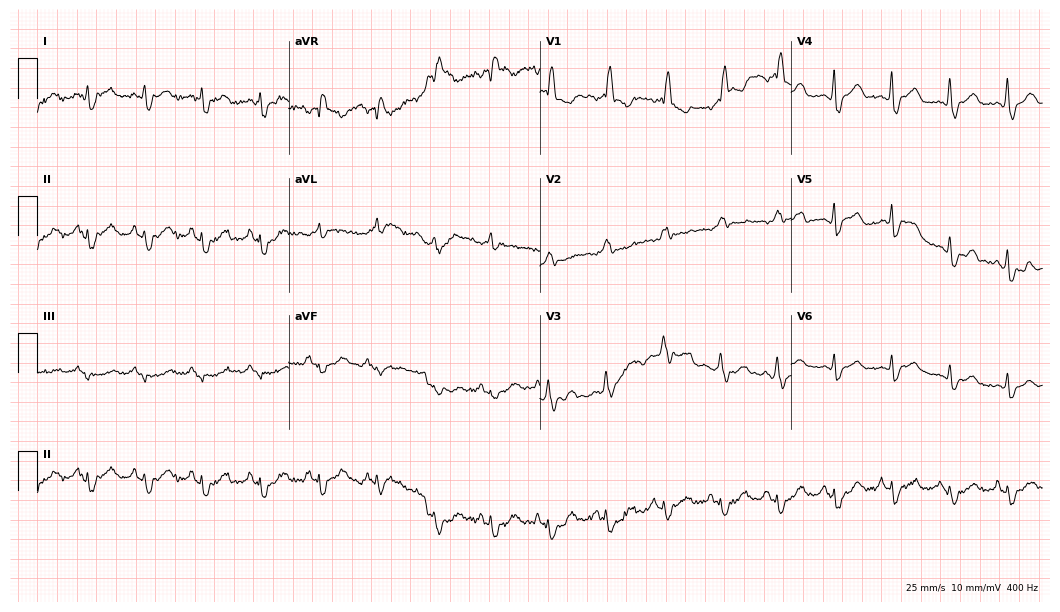
Resting 12-lead electrocardiogram. Patient: a male, 70 years old. None of these six findings is recorded: first-degree AV block, right bundle branch block, left bundle branch block, sinus bradycardia, atrial fibrillation, sinus tachycardia.